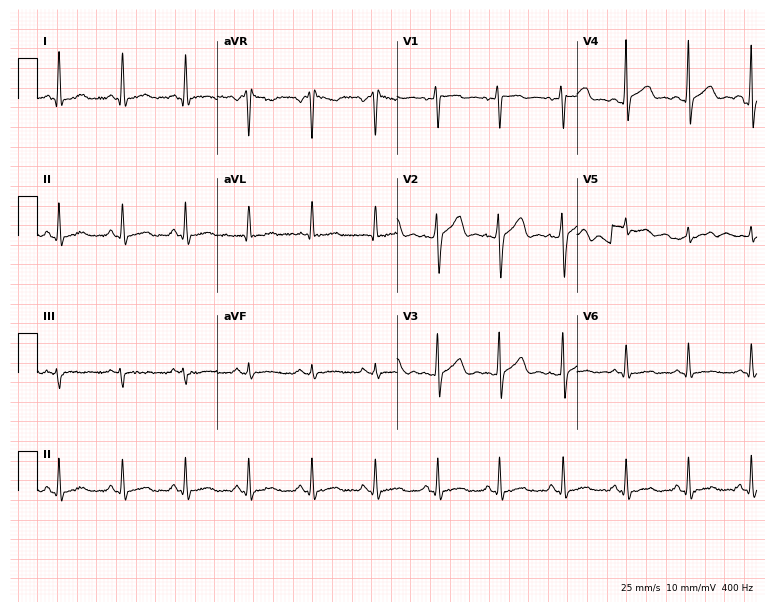
ECG (7.3-second recording at 400 Hz) — a 51-year-old male patient. Labelled as a normal ECG.